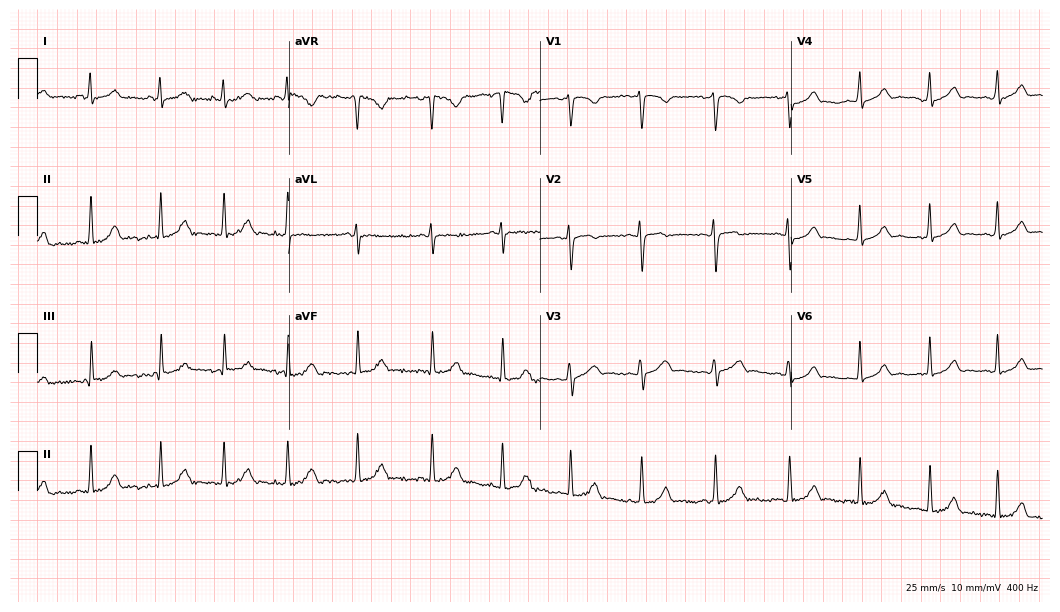
Electrocardiogram (10.2-second recording at 400 Hz), a 23-year-old female. Overall reading on record: normal ECG.